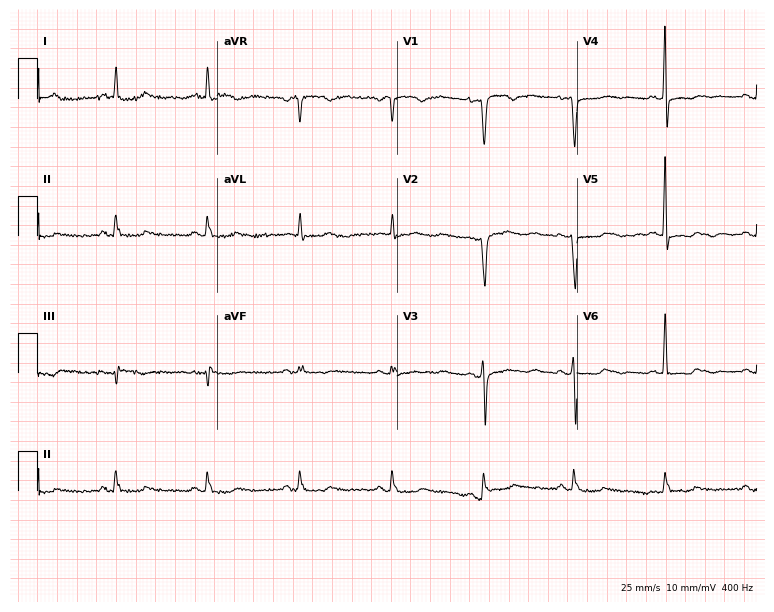
Electrocardiogram, a female patient, 49 years old. Of the six screened findings (first-degree AV block, right bundle branch block, left bundle branch block, sinus bradycardia, atrial fibrillation, sinus tachycardia), none is recorded.